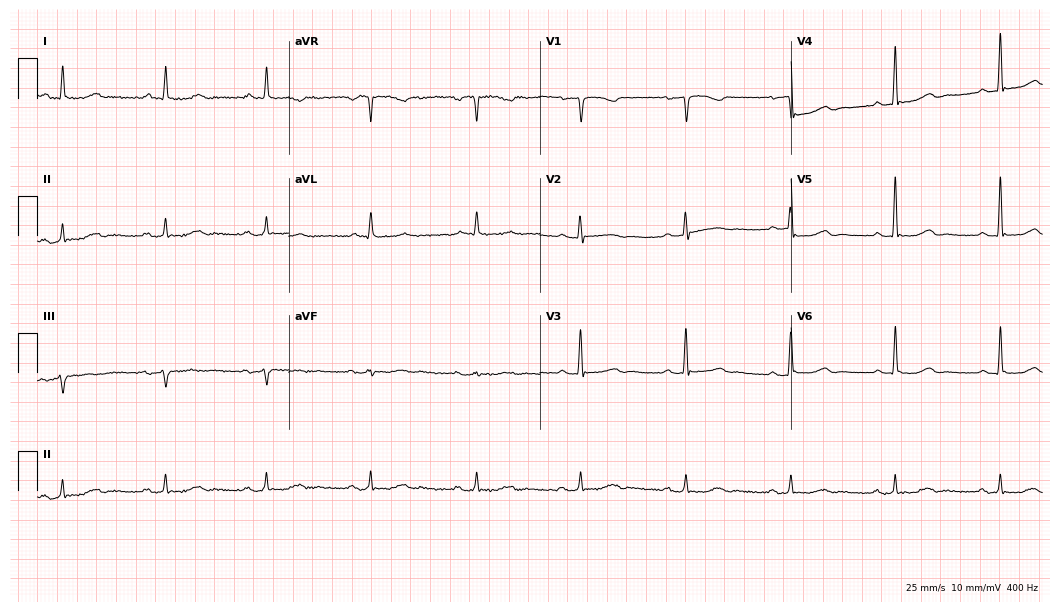
12-lead ECG from a 62-year-old woman. Screened for six findings — first-degree AV block, right bundle branch block, left bundle branch block, sinus bradycardia, atrial fibrillation, sinus tachycardia — none is recorded.